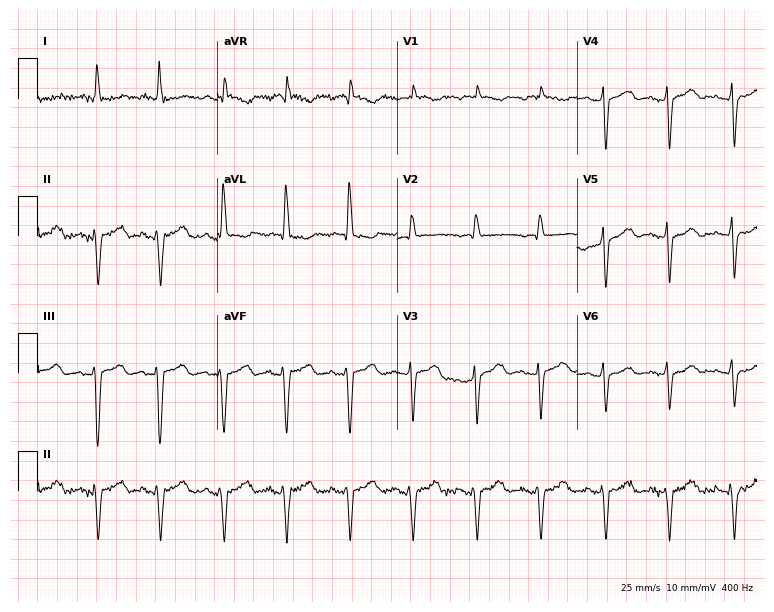
Electrocardiogram, a 72-year-old female patient. Of the six screened findings (first-degree AV block, right bundle branch block (RBBB), left bundle branch block (LBBB), sinus bradycardia, atrial fibrillation (AF), sinus tachycardia), none is recorded.